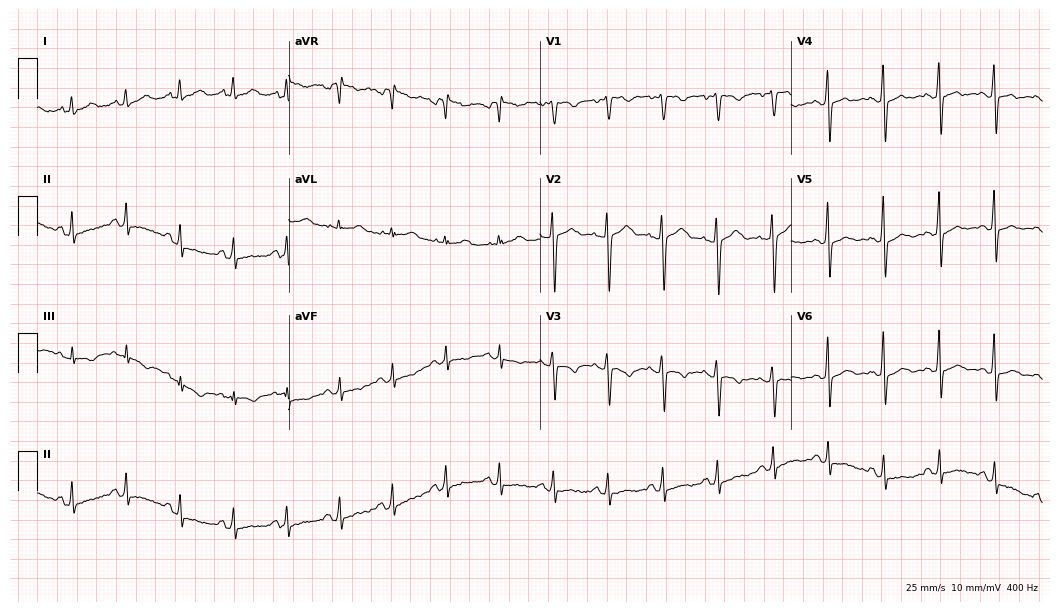
Resting 12-lead electrocardiogram (10.2-second recording at 400 Hz). Patient: a female, 20 years old. The tracing shows sinus tachycardia (a sinus rate of 100 beats per minute or more).